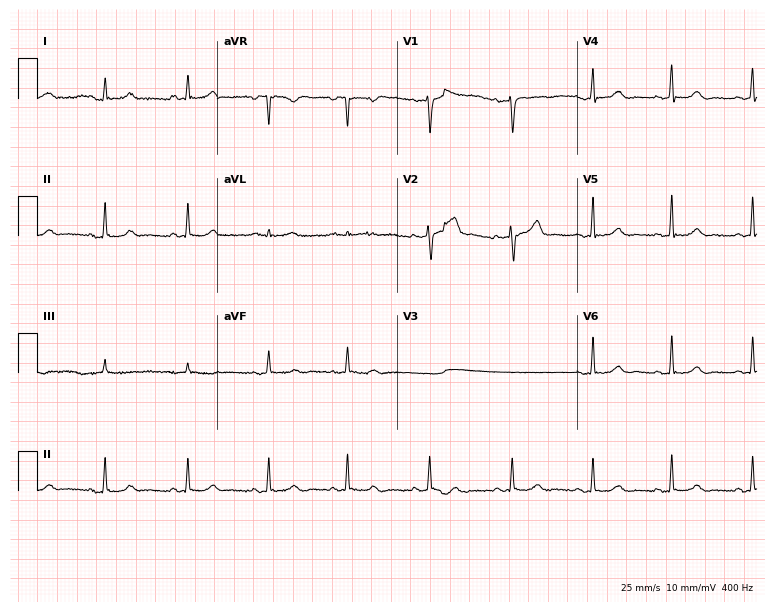
12-lead ECG from a woman, 31 years old (7.3-second recording at 400 Hz). No first-degree AV block, right bundle branch block (RBBB), left bundle branch block (LBBB), sinus bradycardia, atrial fibrillation (AF) or sinus tachycardia recorded for this tracing.